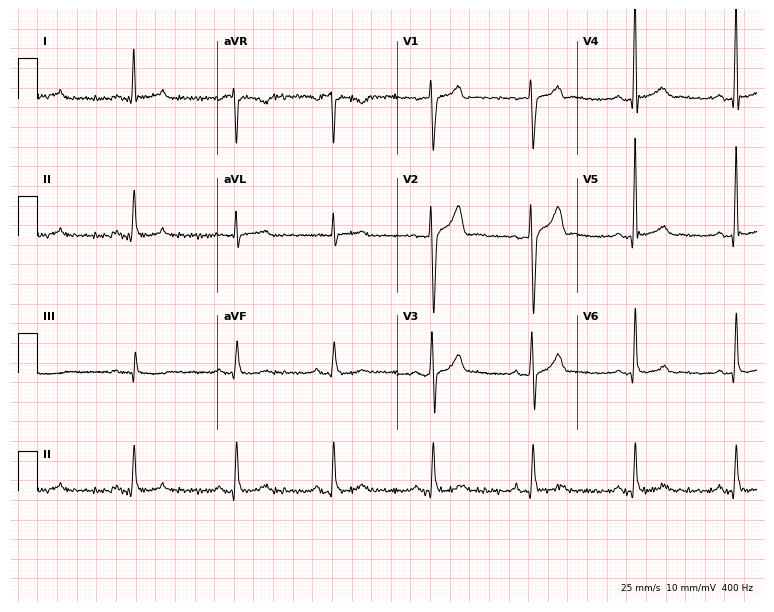
ECG — a male, 35 years old. Labelled as a normal ECG.